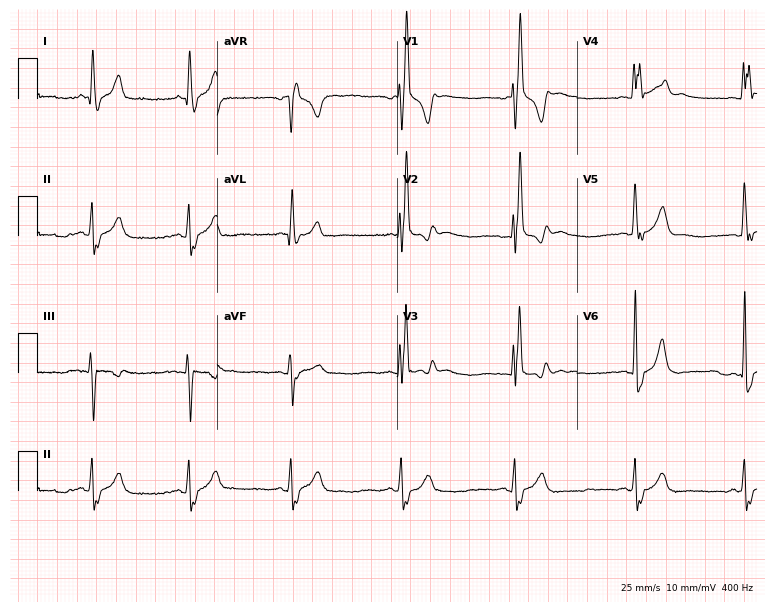
ECG — a 23-year-old male. Findings include right bundle branch block (RBBB).